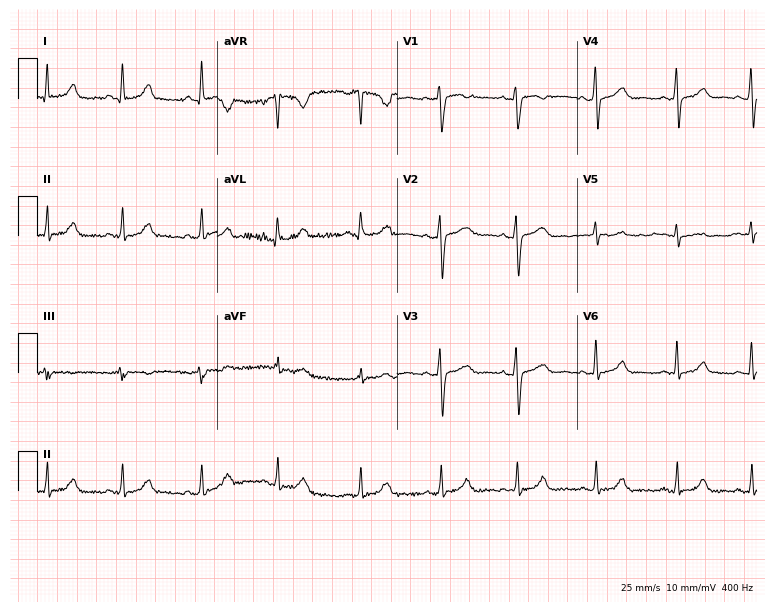
Standard 12-lead ECG recorded from a 25-year-old woman (7.3-second recording at 400 Hz). Read as a normal ECG.